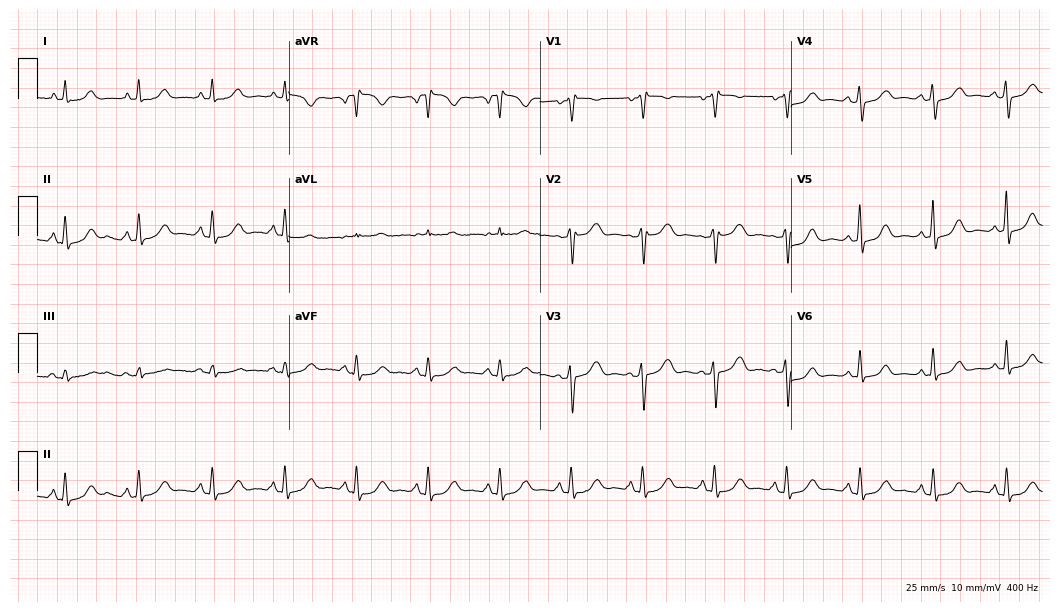
Electrocardiogram, a woman, 42 years old. Of the six screened findings (first-degree AV block, right bundle branch block (RBBB), left bundle branch block (LBBB), sinus bradycardia, atrial fibrillation (AF), sinus tachycardia), none is recorded.